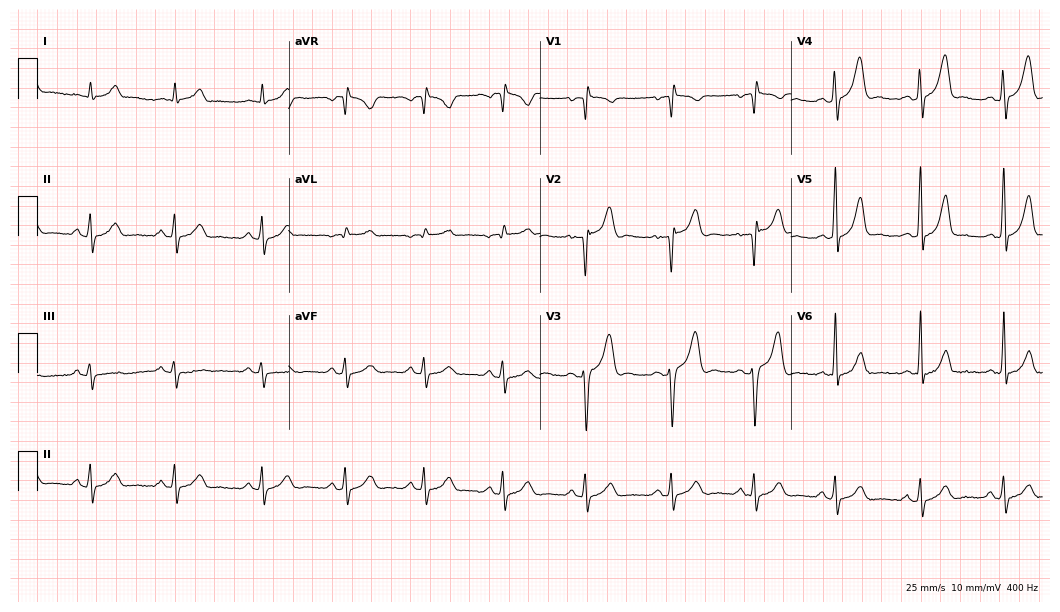
Electrocardiogram, a male patient, 25 years old. Of the six screened findings (first-degree AV block, right bundle branch block, left bundle branch block, sinus bradycardia, atrial fibrillation, sinus tachycardia), none is recorded.